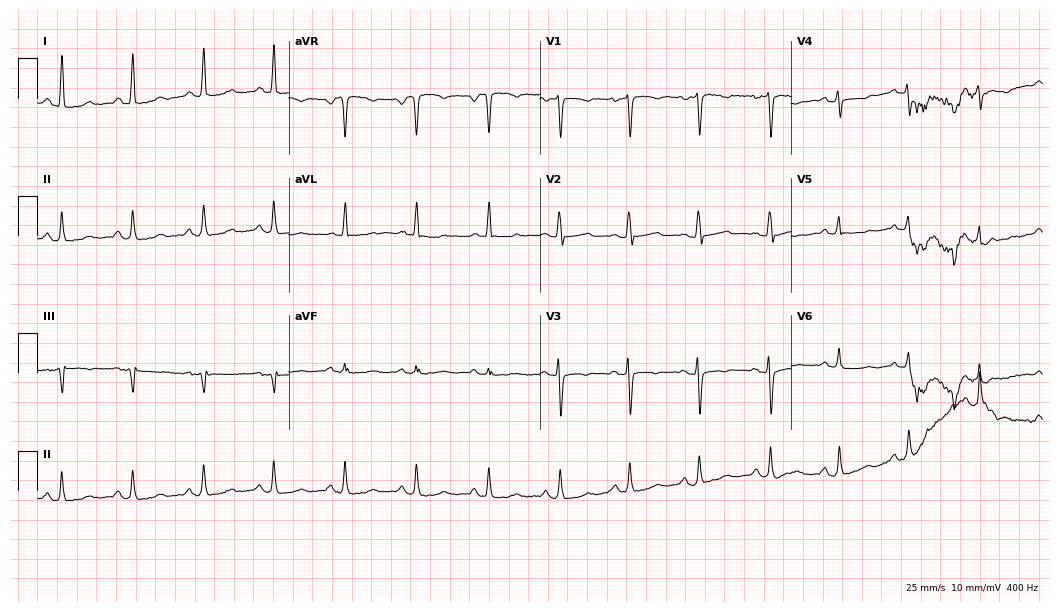
Resting 12-lead electrocardiogram (10.2-second recording at 400 Hz). Patient: a woman, 49 years old. None of these six findings is recorded: first-degree AV block, right bundle branch block (RBBB), left bundle branch block (LBBB), sinus bradycardia, atrial fibrillation (AF), sinus tachycardia. Other findings, if any, are not listed.